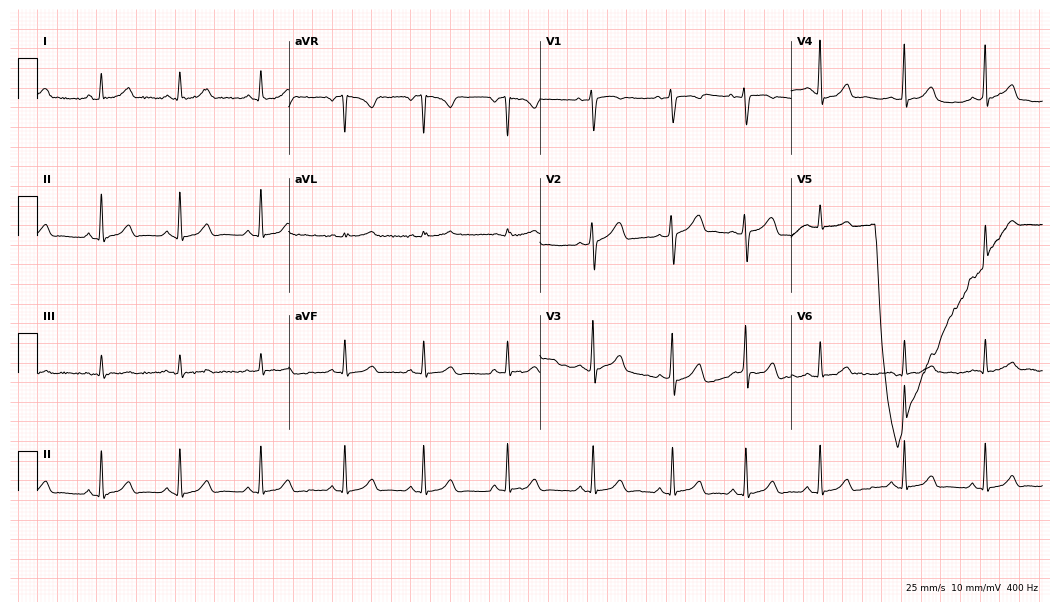
Resting 12-lead electrocardiogram (10.2-second recording at 400 Hz). Patient: a 22-year-old woman. None of these six findings is recorded: first-degree AV block, right bundle branch block, left bundle branch block, sinus bradycardia, atrial fibrillation, sinus tachycardia. Other findings, if any, are not listed.